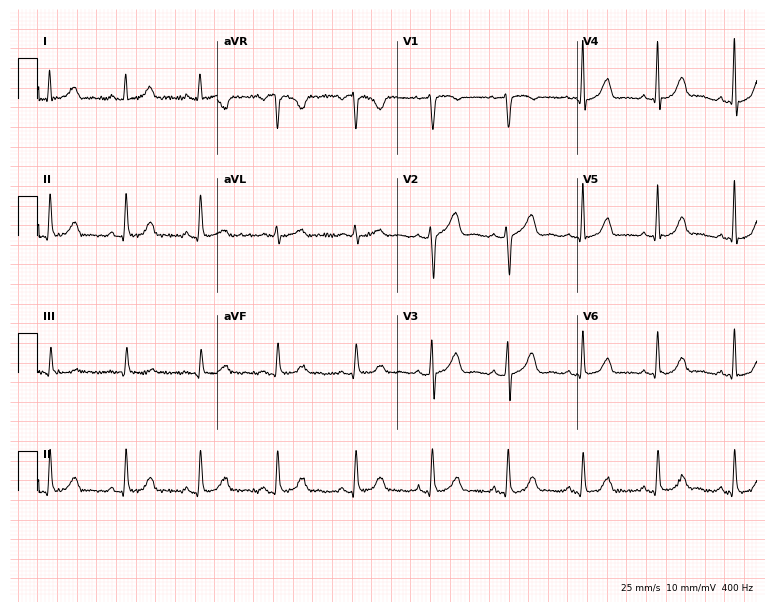
Standard 12-lead ECG recorded from a female patient, 44 years old (7.3-second recording at 400 Hz). Read as a normal ECG.